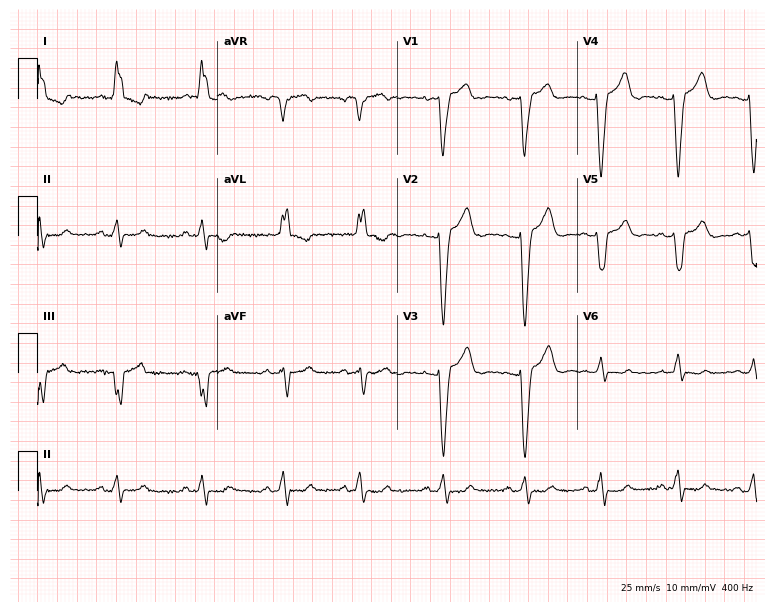
12-lead ECG (7.3-second recording at 400 Hz) from a 54-year-old woman. Findings include left bundle branch block.